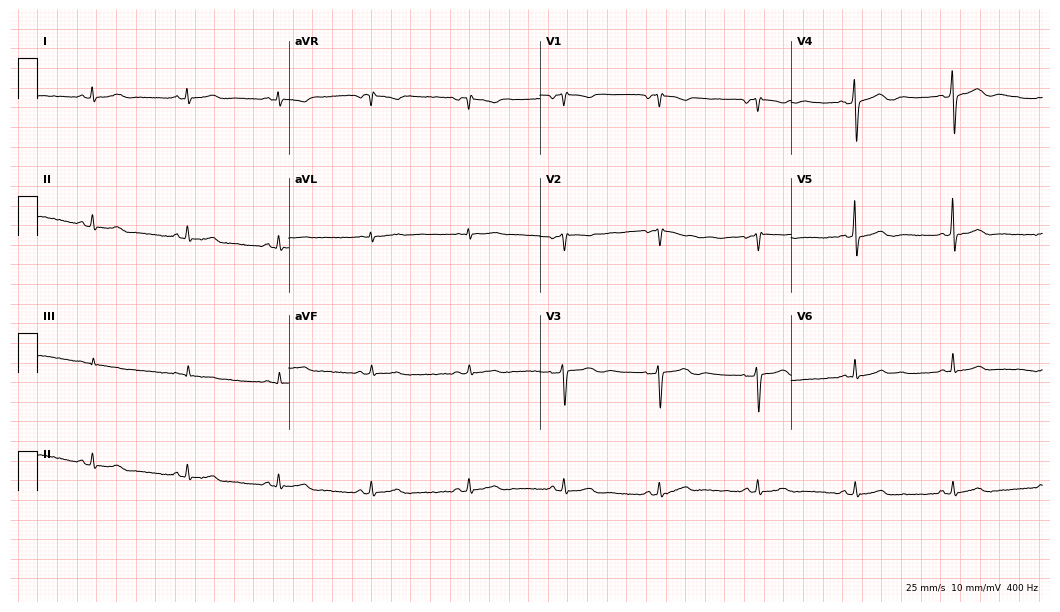
Electrocardiogram, a 37-year-old male. Overall reading on record: normal ECG.